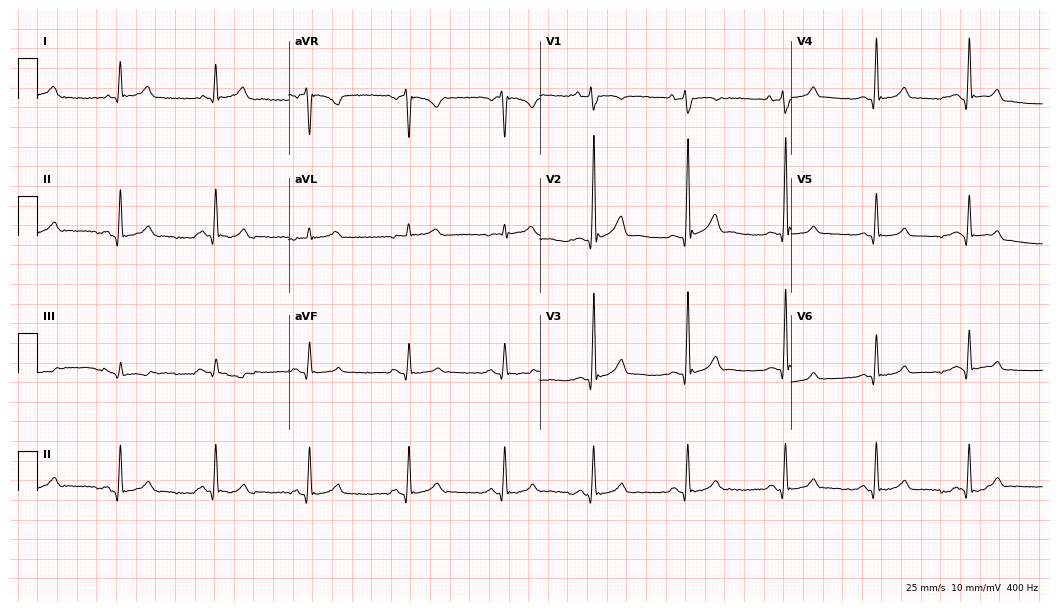
12-lead ECG (10.2-second recording at 400 Hz) from a woman, 33 years old. Screened for six findings — first-degree AV block, right bundle branch block, left bundle branch block, sinus bradycardia, atrial fibrillation, sinus tachycardia — none is recorded. Other findings, if any, are not listed.